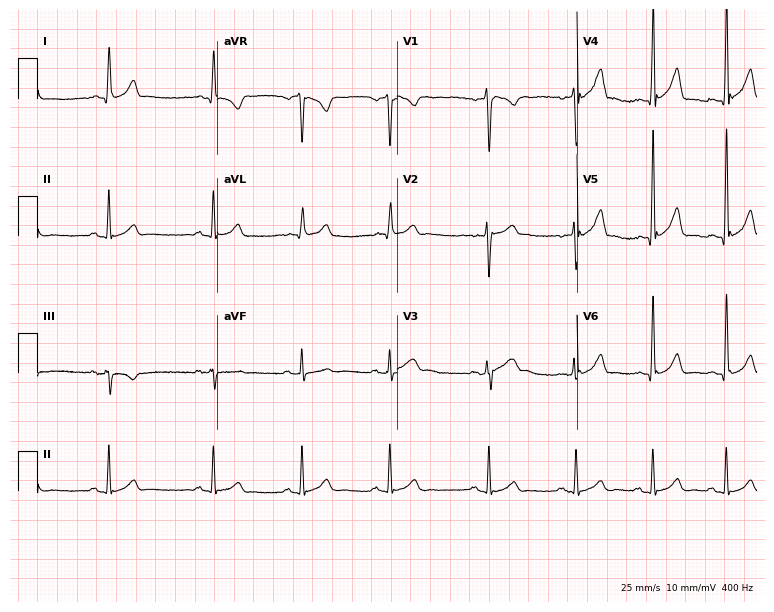
Standard 12-lead ECG recorded from a man, 21 years old (7.3-second recording at 400 Hz). Read as a normal ECG.